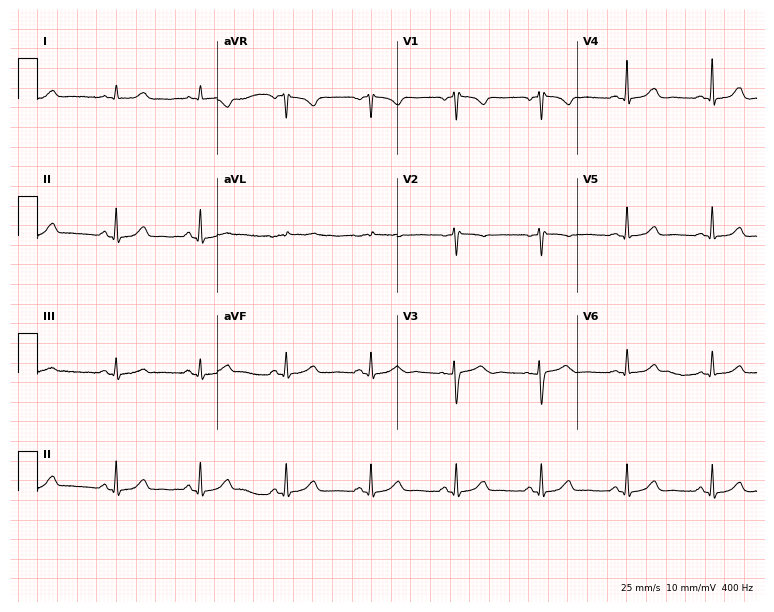
12-lead ECG from a female, 45 years old. Labelled as a normal ECG.